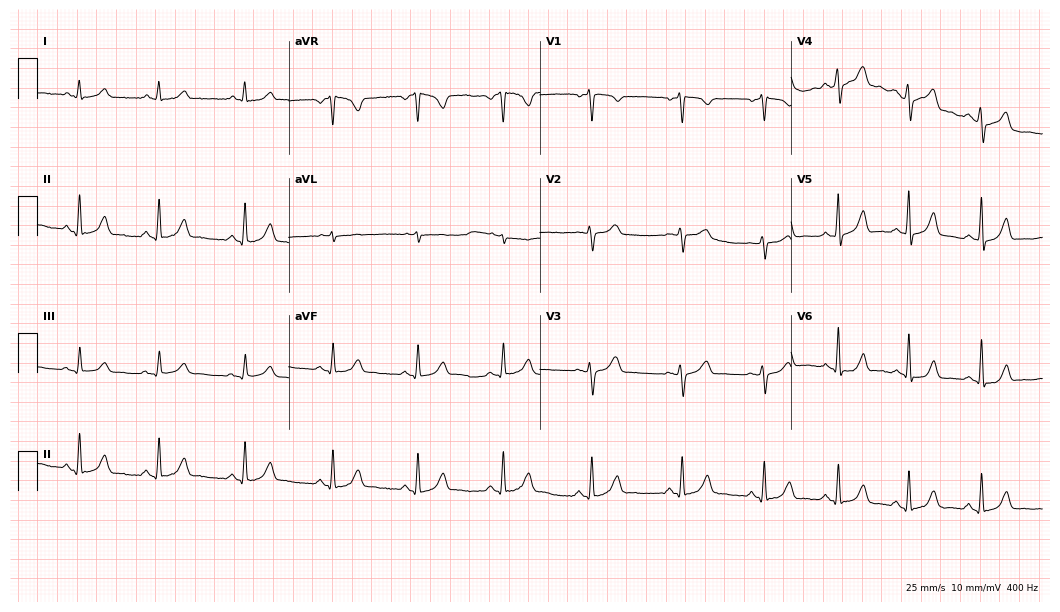
12-lead ECG (10.2-second recording at 400 Hz) from a 47-year-old female patient. Labelled as a normal ECG.